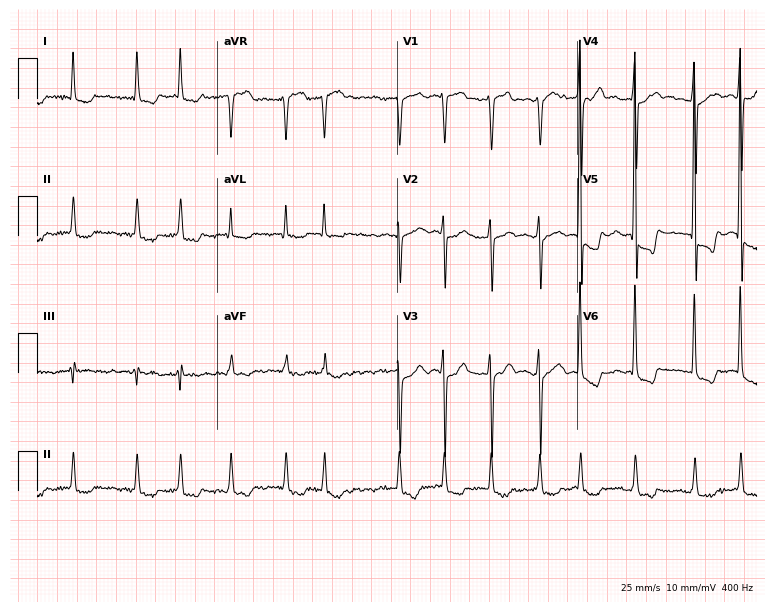
ECG (7.3-second recording at 400 Hz) — a female patient, 83 years old. Findings include atrial fibrillation (AF).